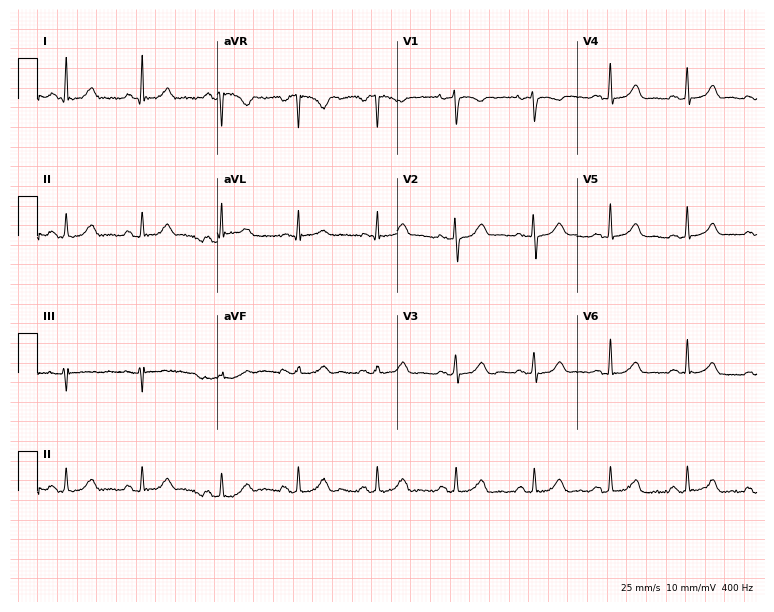
Resting 12-lead electrocardiogram (7.3-second recording at 400 Hz). Patient: a female, 39 years old. Read as a normal ECG.